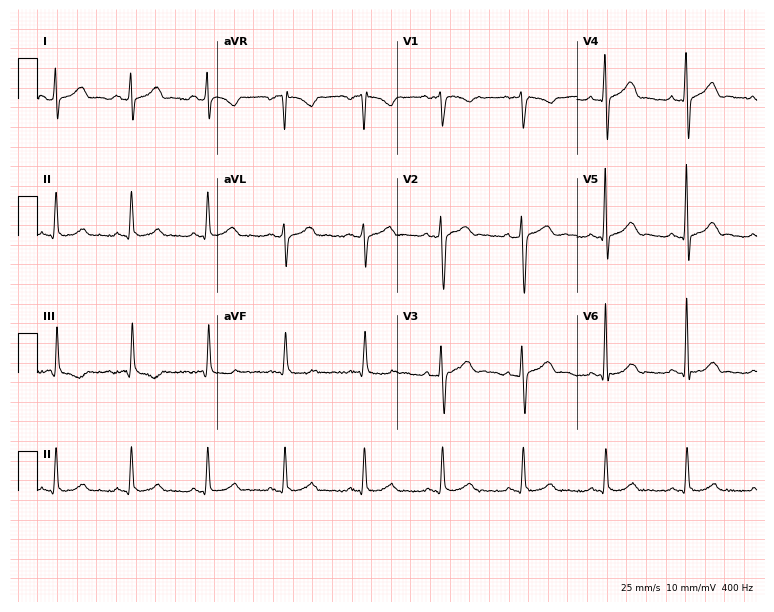
ECG (7.3-second recording at 400 Hz) — a male patient, 25 years old. Labelled as a normal ECG.